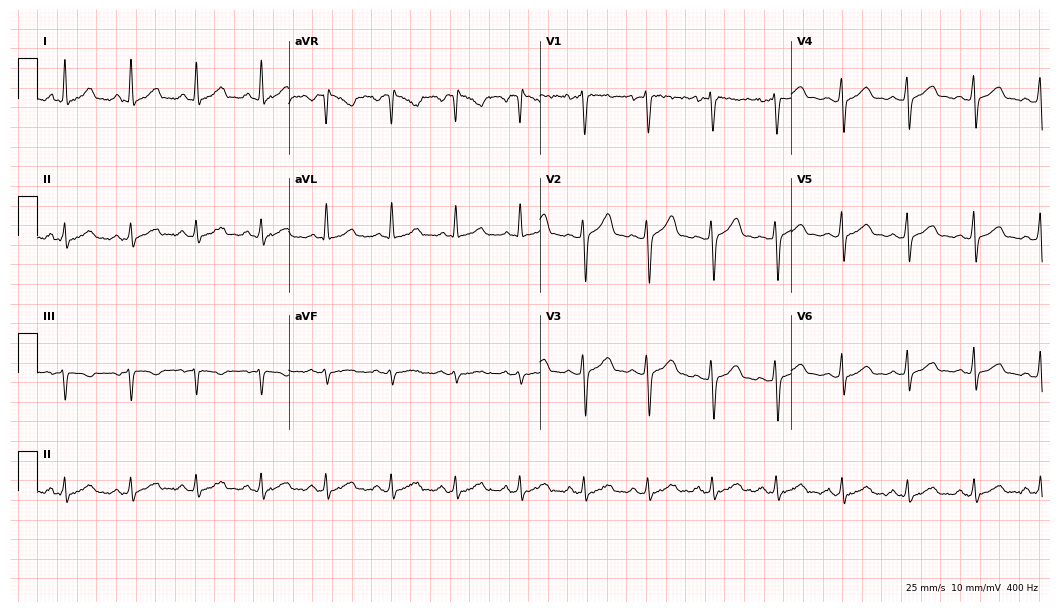
ECG (10.2-second recording at 400 Hz) — a man, 36 years old. Labelled as a normal ECG.